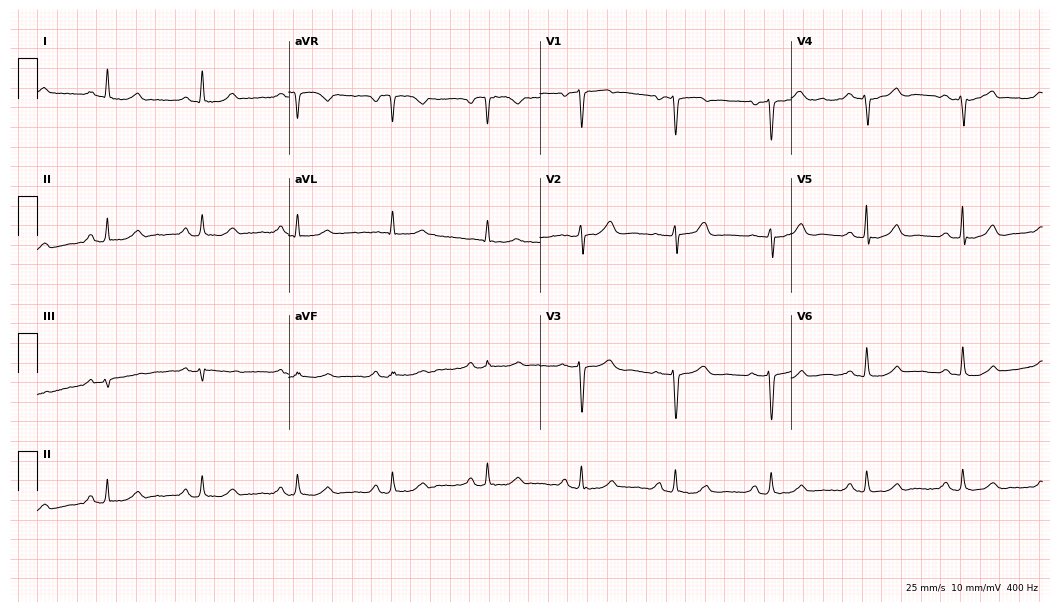
12-lead ECG from a 75-year-old female. Labelled as a normal ECG.